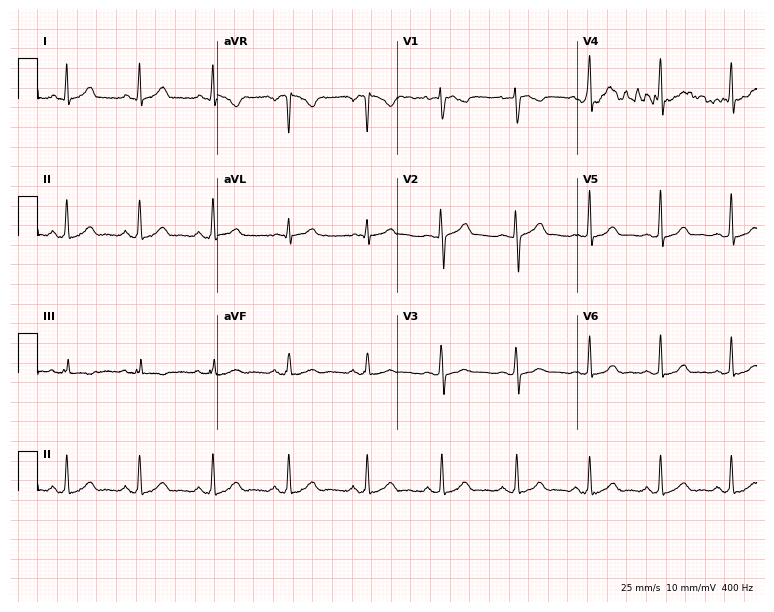
Electrocardiogram, a woman, 17 years old. Overall reading on record: normal ECG.